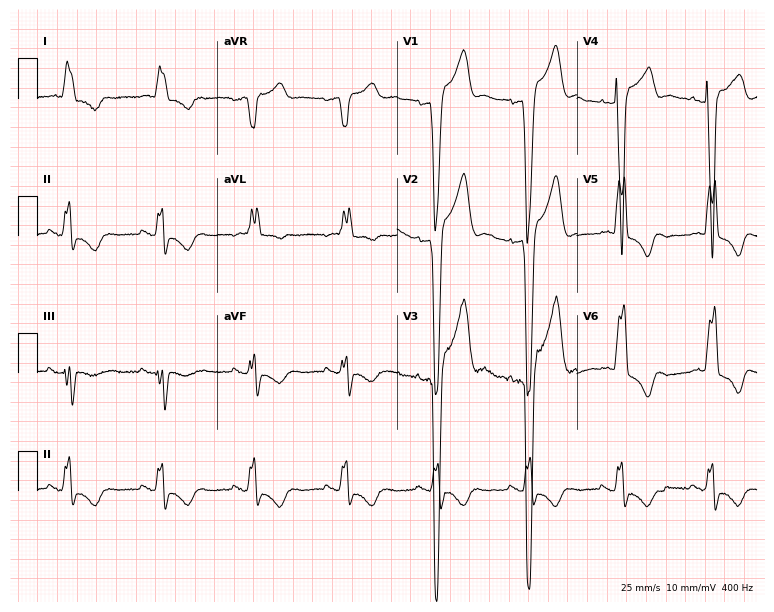
Electrocardiogram (7.3-second recording at 400 Hz), an 81-year-old male. Of the six screened findings (first-degree AV block, right bundle branch block (RBBB), left bundle branch block (LBBB), sinus bradycardia, atrial fibrillation (AF), sinus tachycardia), none is recorded. Other findings, if any, are not listed.